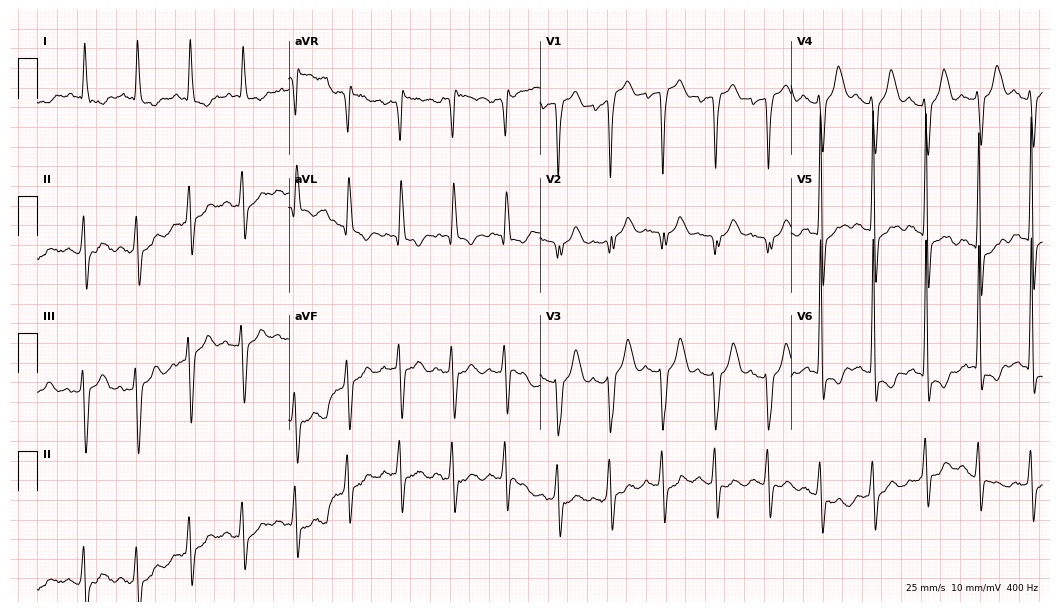
Standard 12-lead ECG recorded from a female patient, 83 years old (10.2-second recording at 400 Hz). The tracing shows sinus tachycardia (a sinus rate of 100 beats per minute or more).